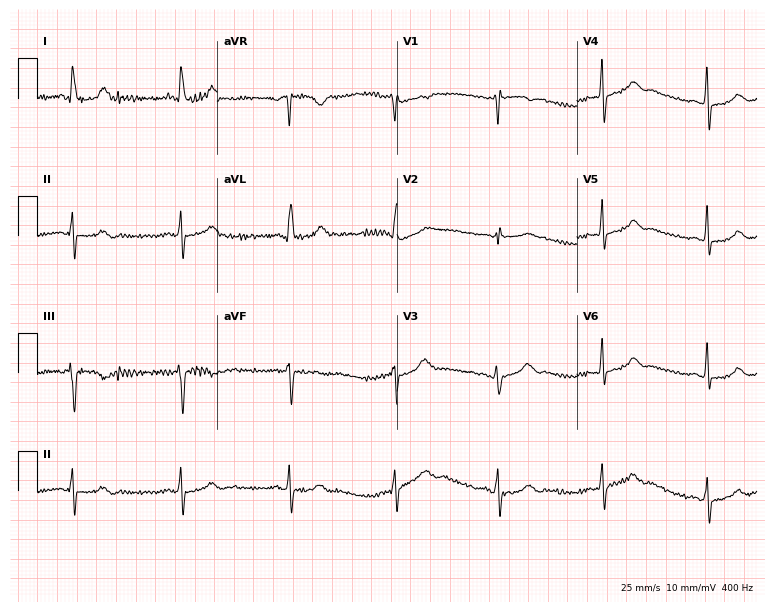
12-lead ECG from a female, 60 years old (7.3-second recording at 400 Hz). No first-degree AV block, right bundle branch block, left bundle branch block, sinus bradycardia, atrial fibrillation or sinus tachycardia recorded for this tracing.